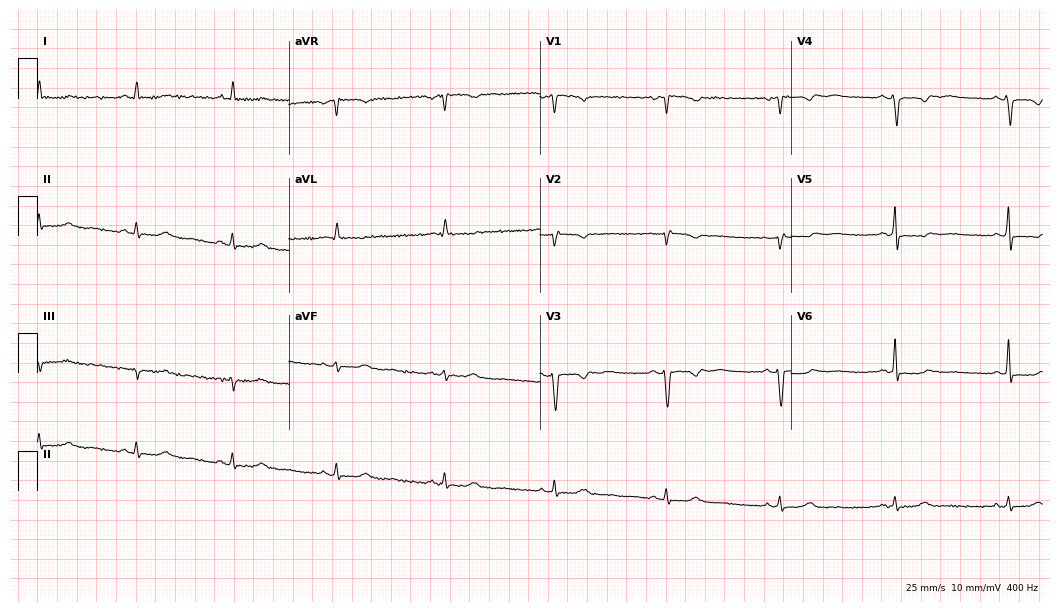
12-lead ECG from a 51-year-old female patient. Screened for six findings — first-degree AV block, right bundle branch block (RBBB), left bundle branch block (LBBB), sinus bradycardia, atrial fibrillation (AF), sinus tachycardia — none is recorded. Findings outside these six are not listed.